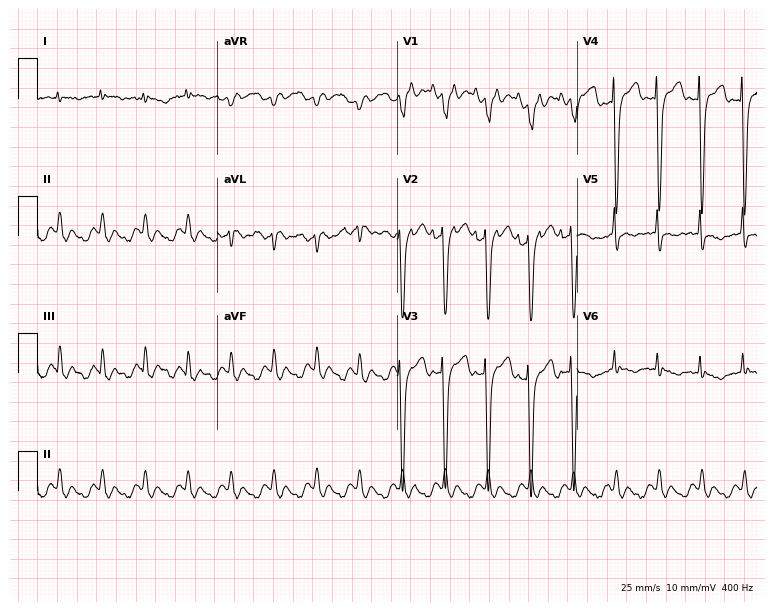
Electrocardiogram, a 49-year-old man. Interpretation includes sinus tachycardia (a sinus rate of 100 beats per minute or more).